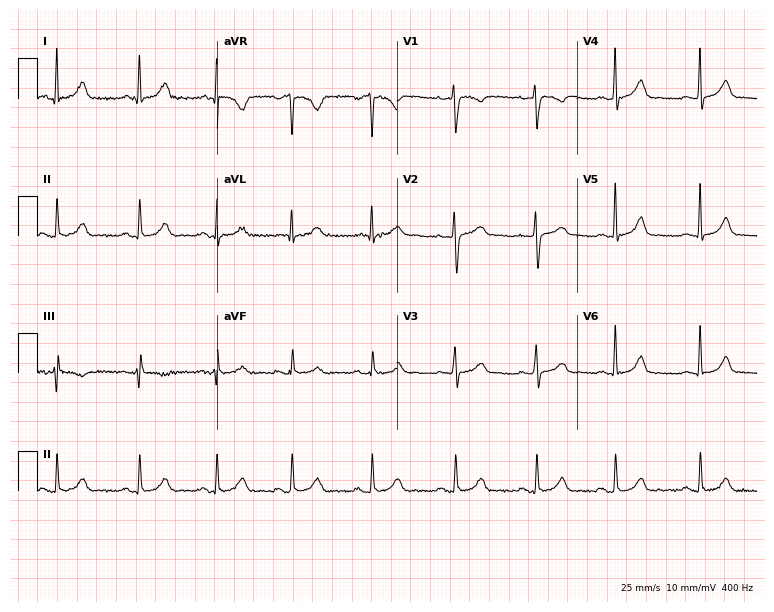
ECG (7.3-second recording at 400 Hz) — a woman, 33 years old. Labelled as a normal ECG.